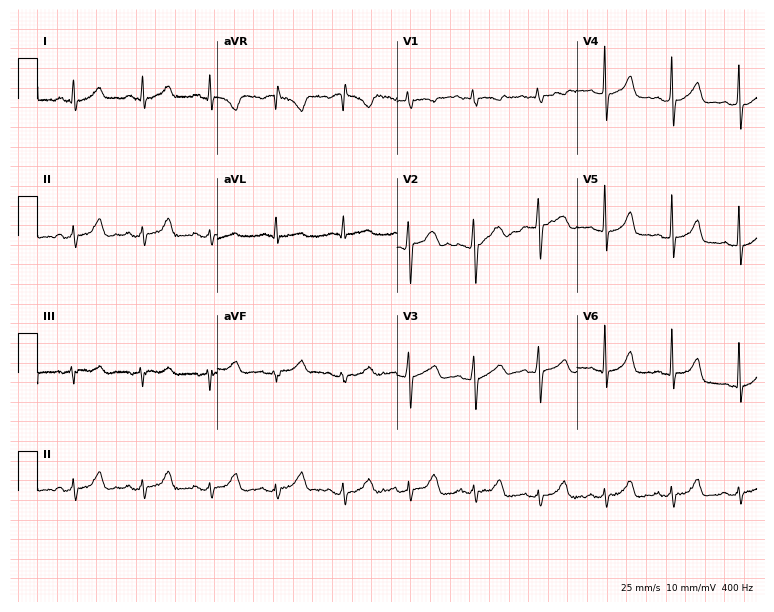
Standard 12-lead ECG recorded from a 27-year-old woman (7.3-second recording at 400 Hz). Read as a normal ECG.